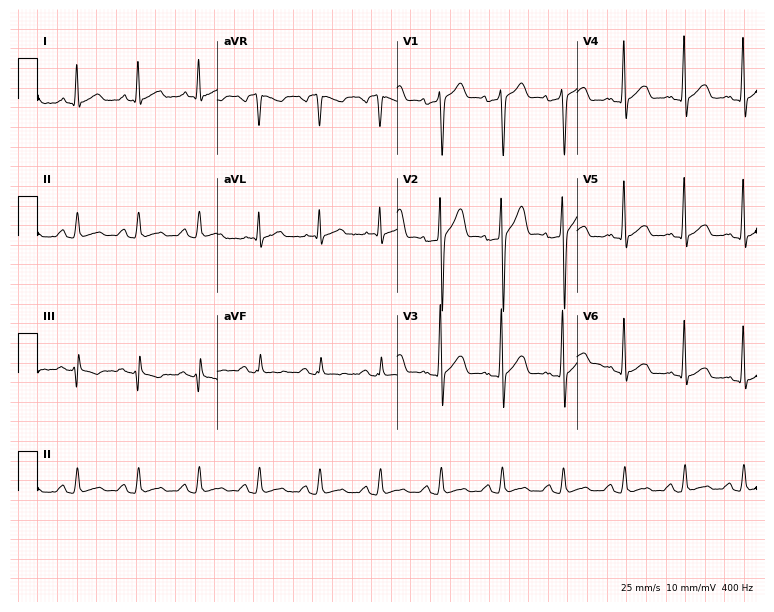
Resting 12-lead electrocardiogram. Patient: a 48-year-old man. None of these six findings is recorded: first-degree AV block, right bundle branch block (RBBB), left bundle branch block (LBBB), sinus bradycardia, atrial fibrillation (AF), sinus tachycardia.